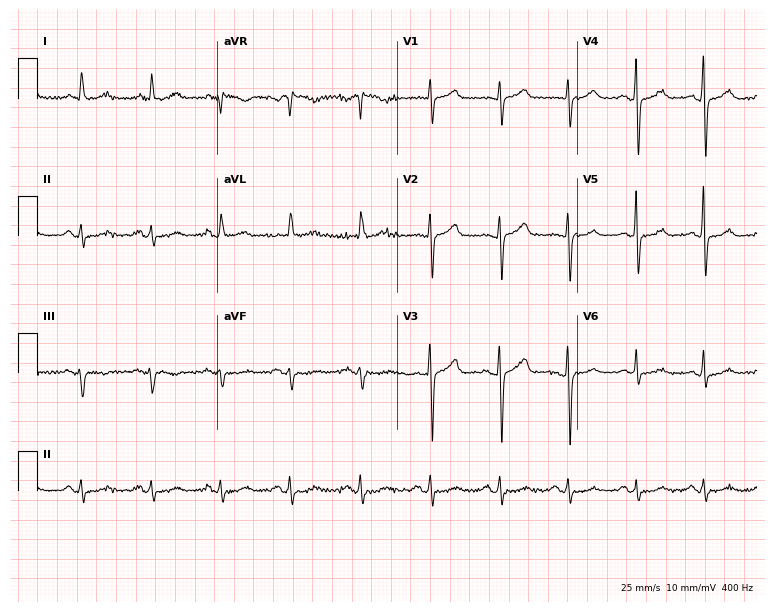
Standard 12-lead ECG recorded from a 66-year-old female (7.3-second recording at 400 Hz). None of these six findings is recorded: first-degree AV block, right bundle branch block (RBBB), left bundle branch block (LBBB), sinus bradycardia, atrial fibrillation (AF), sinus tachycardia. Only these six findings were labelled.